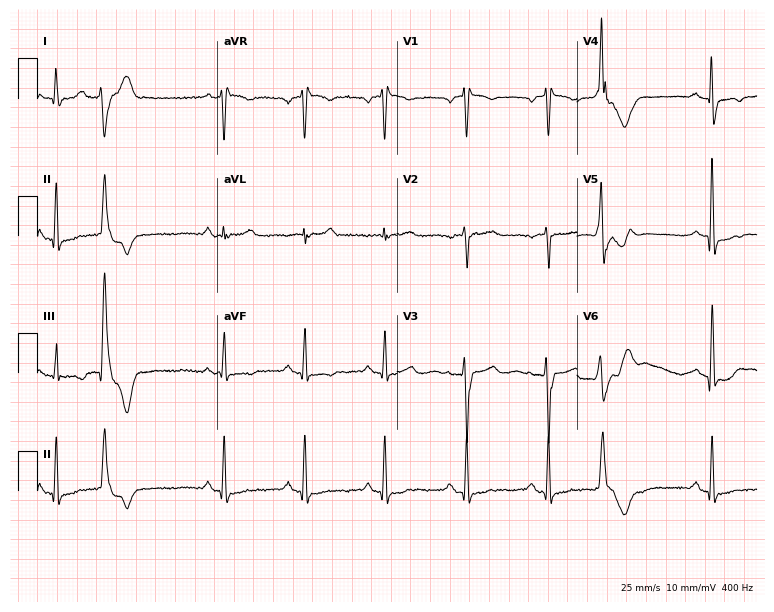
Resting 12-lead electrocardiogram (7.3-second recording at 400 Hz). Patient: a female, 80 years old. None of these six findings is recorded: first-degree AV block, right bundle branch block (RBBB), left bundle branch block (LBBB), sinus bradycardia, atrial fibrillation (AF), sinus tachycardia. Only these six findings were labelled.